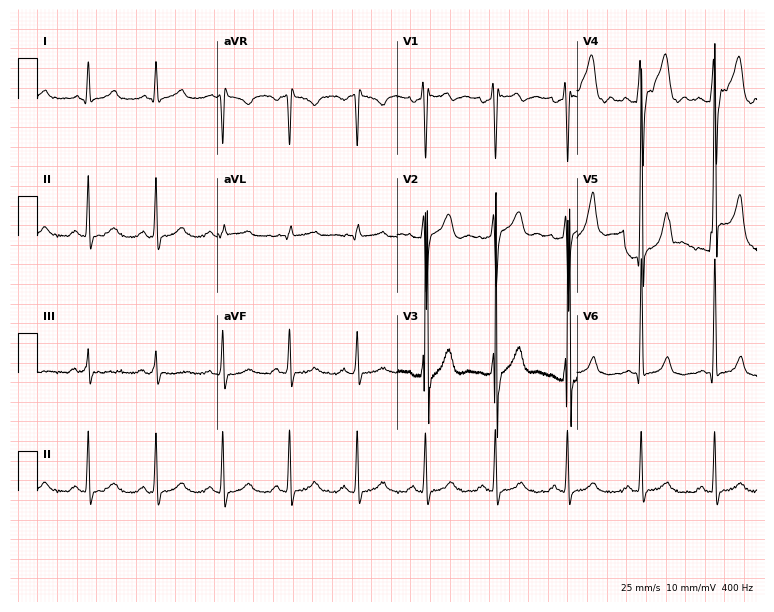
Standard 12-lead ECG recorded from a male, 33 years old (7.3-second recording at 400 Hz). Read as a normal ECG.